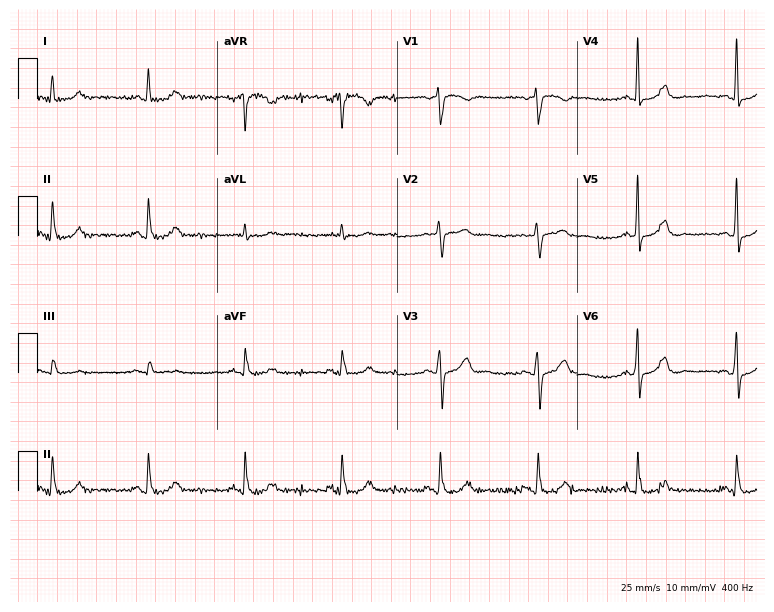
Electrocardiogram (7.3-second recording at 400 Hz), a 76-year-old man. Overall reading on record: normal ECG.